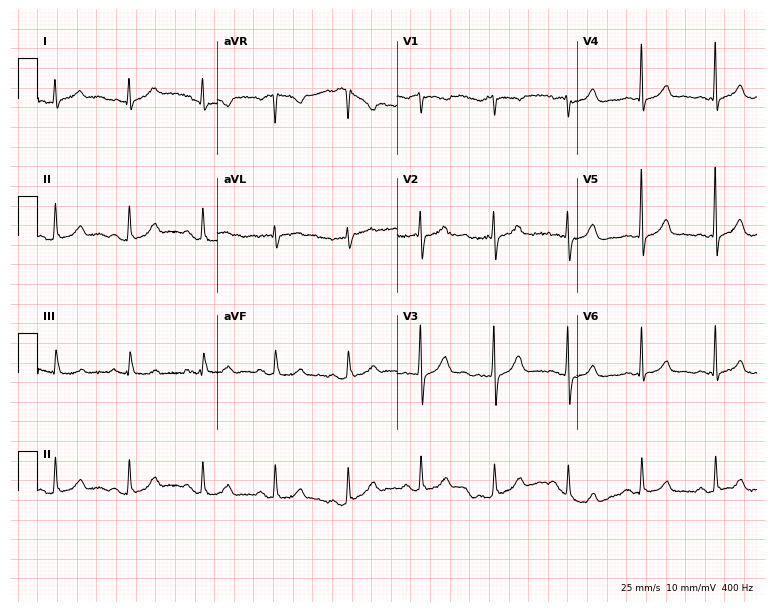
Electrocardiogram (7.3-second recording at 400 Hz), a 59-year-old male patient. Overall reading on record: normal ECG.